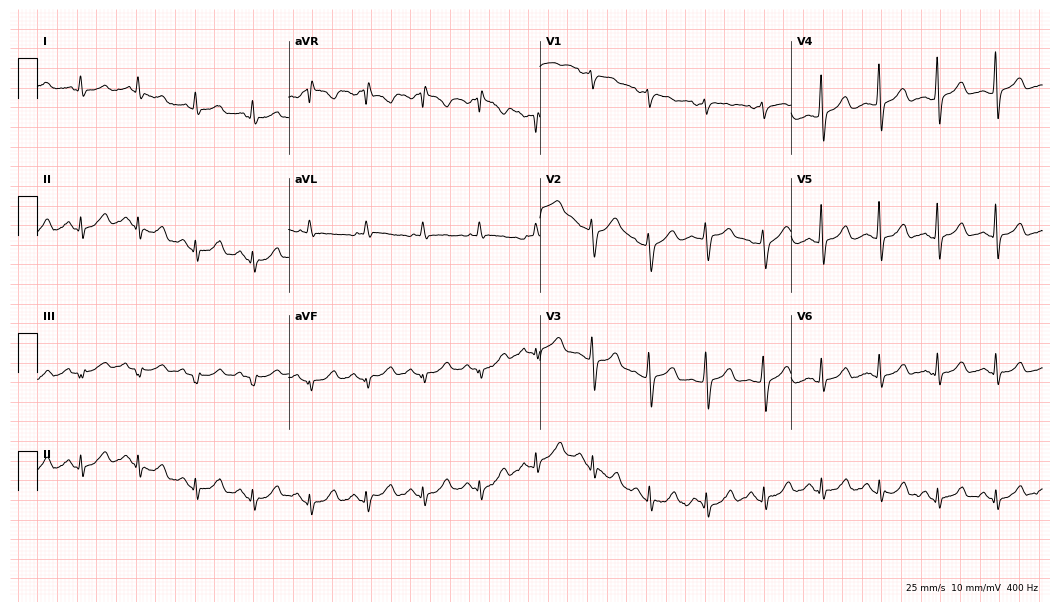
12-lead ECG from a 52-year-old man. No first-degree AV block, right bundle branch block, left bundle branch block, sinus bradycardia, atrial fibrillation or sinus tachycardia recorded for this tracing.